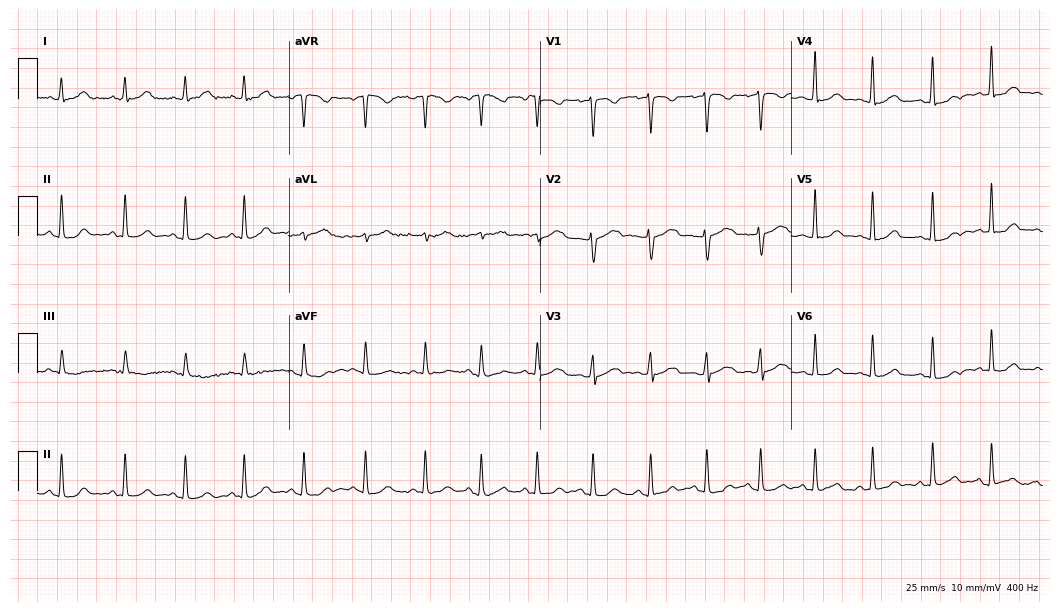
12-lead ECG (10.2-second recording at 400 Hz) from a 27-year-old female. Labelled as a normal ECG.